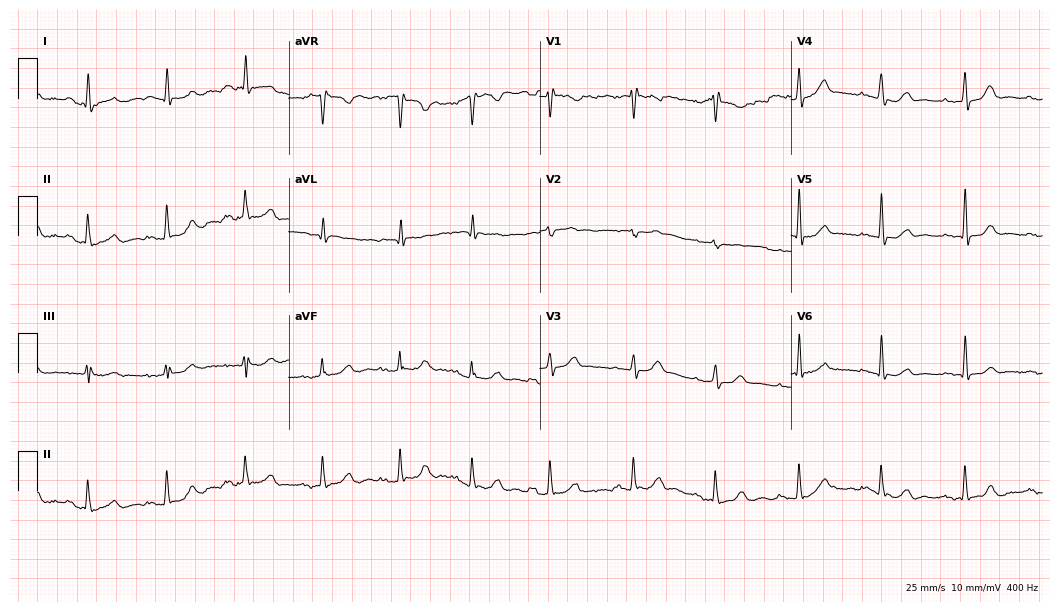
Standard 12-lead ECG recorded from a 62-year-old male patient. None of these six findings is recorded: first-degree AV block, right bundle branch block, left bundle branch block, sinus bradycardia, atrial fibrillation, sinus tachycardia. Other findings, if any, are not listed.